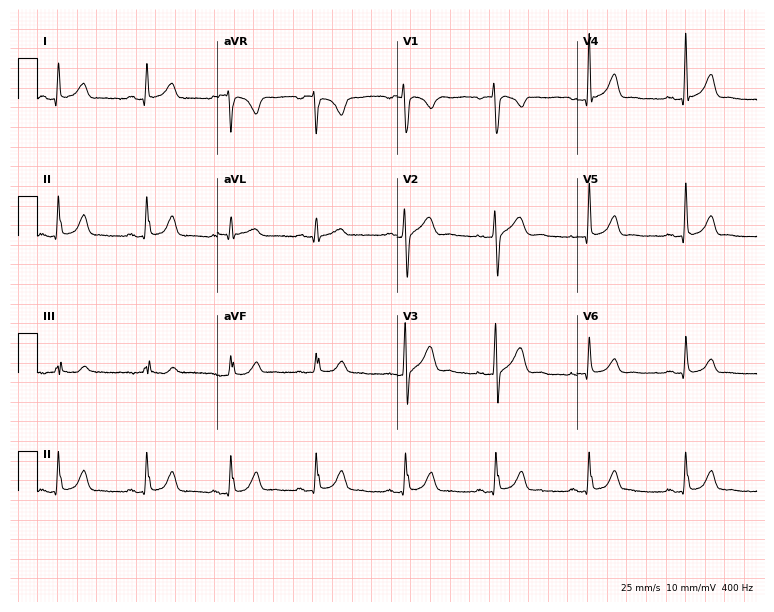
Electrocardiogram (7.3-second recording at 400 Hz), a 48-year-old female patient. Overall reading on record: normal ECG.